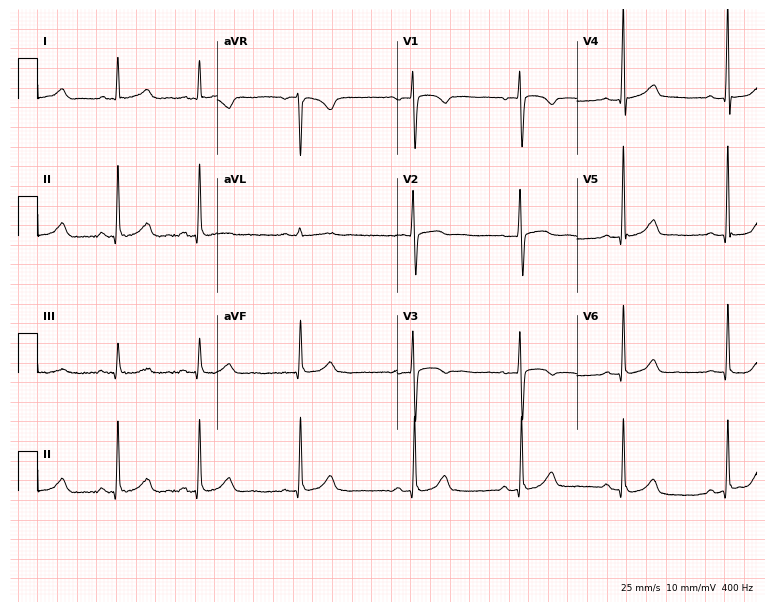
12-lead ECG (7.3-second recording at 400 Hz) from a female patient, 57 years old. Labelled as a normal ECG.